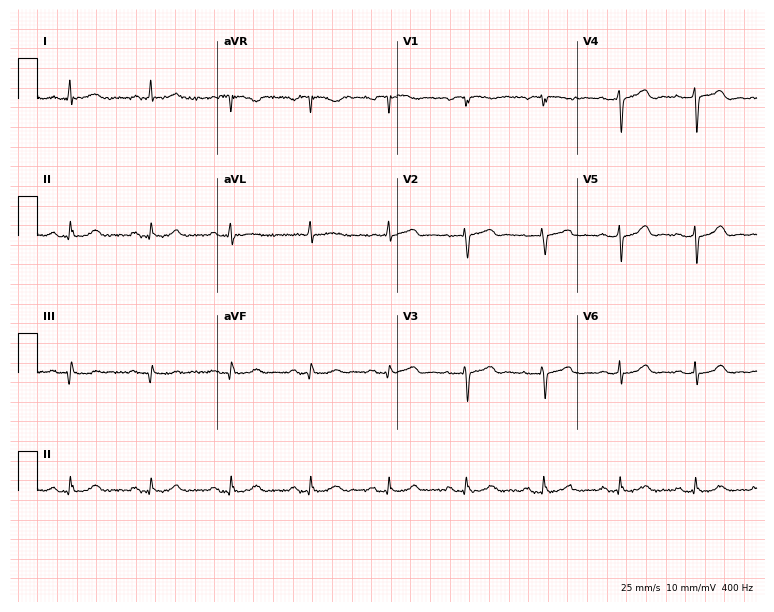
Resting 12-lead electrocardiogram. Patient: a female, 79 years old. None of these six findings is recorded: first-degree AV block, right bundle branch block (RBBB), left bundle branch block (LBBB), sinus bradycardia, atrial fibrillation (AF), sinus tachycardia. Findings outside these six are not listed.